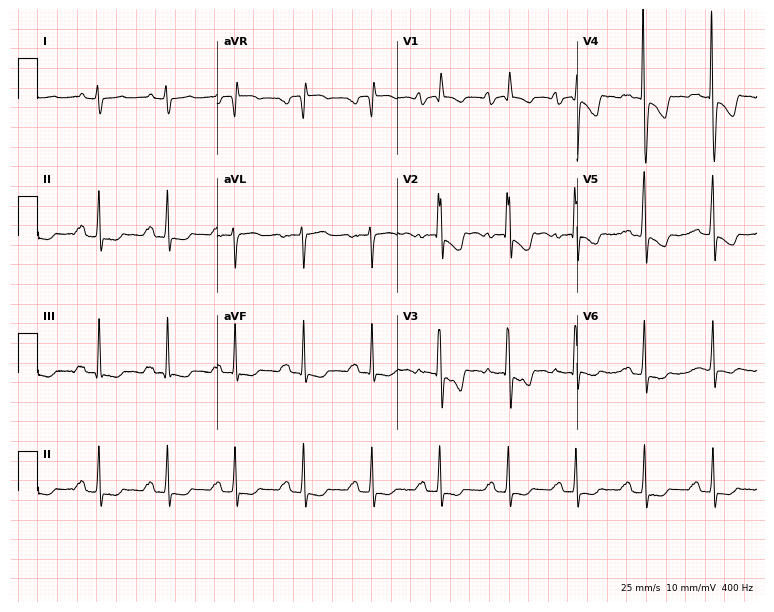
Electrocardiogram (7.3-second recording at 400 Hz), a female patient, 19 years old. Of the six screened findings (first-degree AV block, right bundle branch block, left bundle branch block, sinus bradycardia, atrial fibrillation, sinus tachycardia), none is recorded. Only these six findings were labelled.